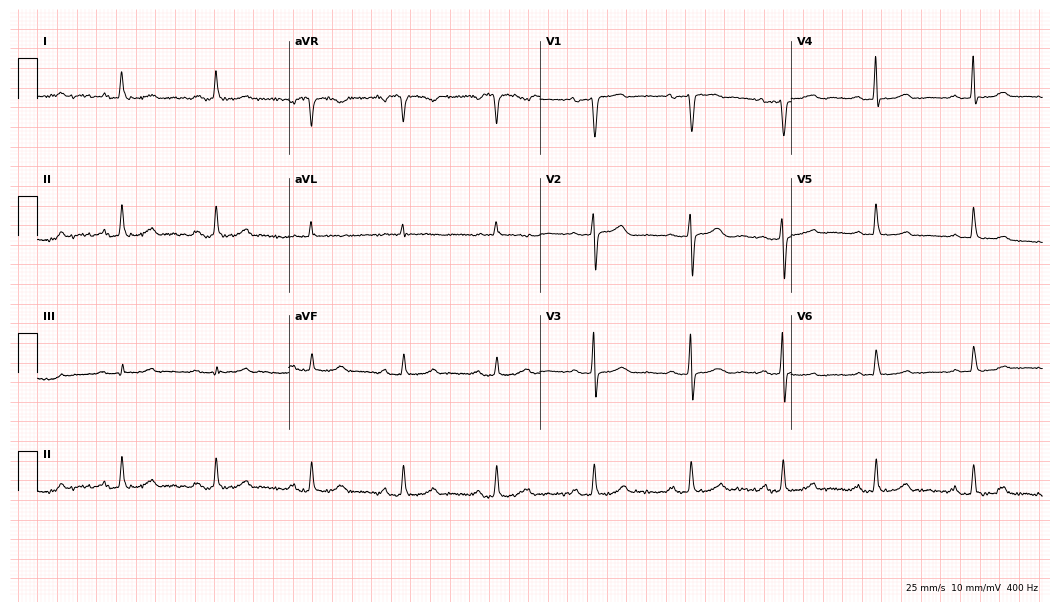
Standard 12-lead ECG recorded from a 58-year-old woman (10.2-second recording at 400 Hz). Read as a normal ECG.